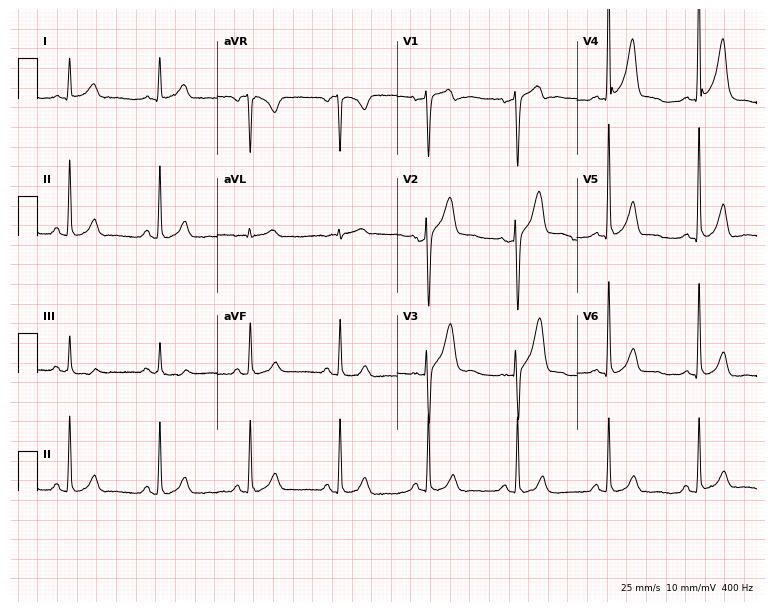
Electrocardiogram (7.3-second recording at 400 Hz), a male patient, 54 years old. Of the six screened findings (first-degree AV block, right bundle branch block, left bundle branch block, sinus bradycardia, atrial fibrillation, sinus tachycardia), none is recorded. Other findings, if any, are not listed.